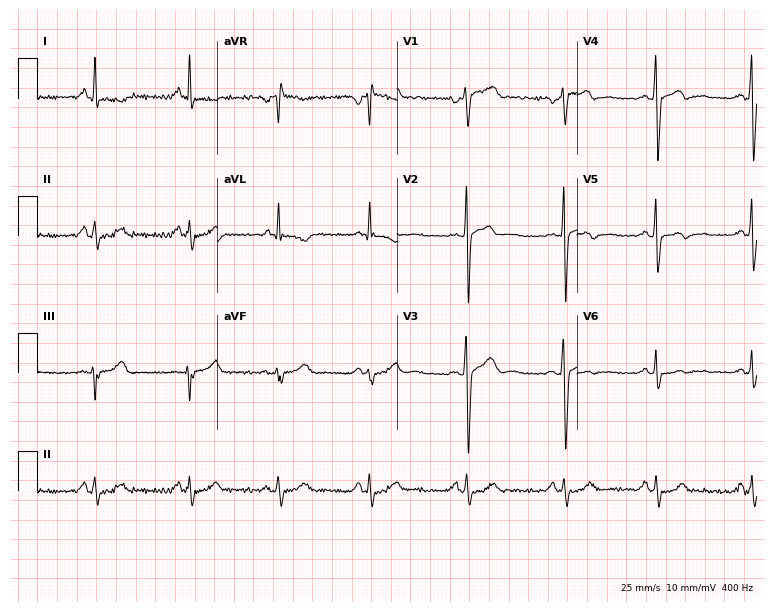
Standard 12-lead ECG recorded from a 48-year-old male (7.3-second recording at 400 Hz). Read as a normal ECG.